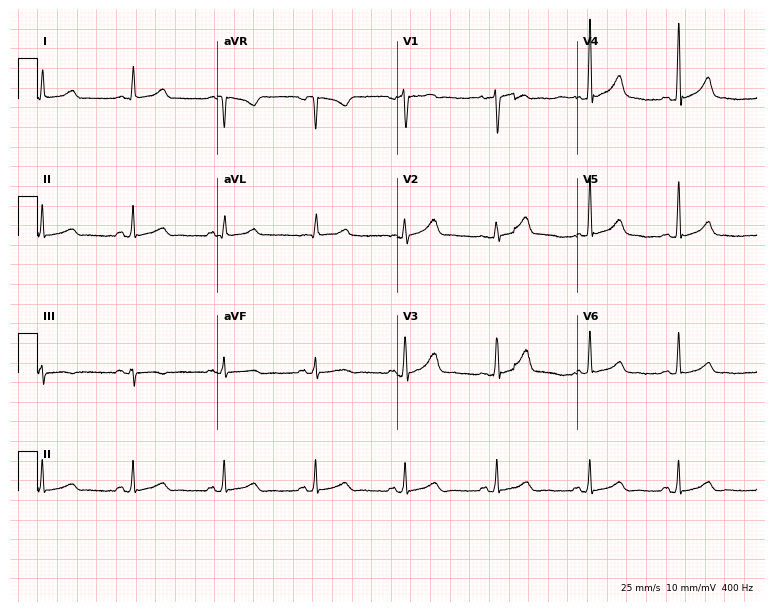
ECG — a female patient, 30 years old. Labelled as a normal ECG.